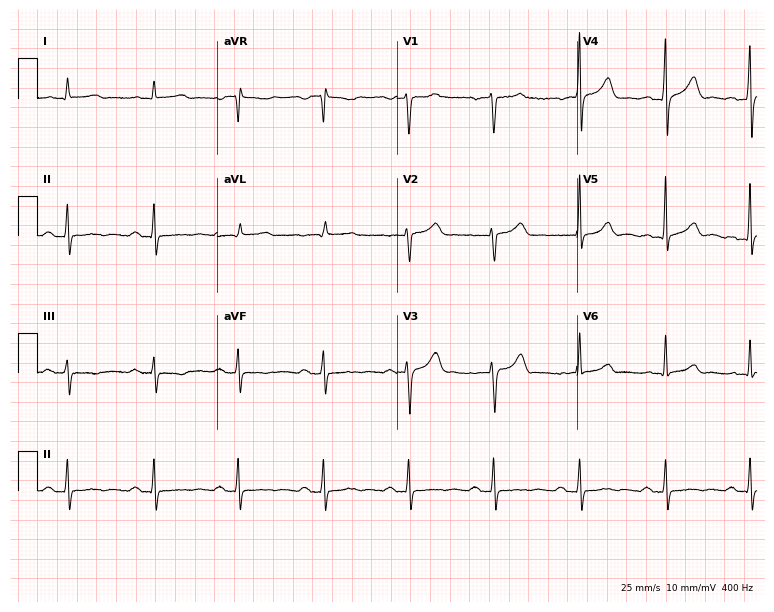
12-lead ECG from a 49-year-old man (7.3-second recording at 400 Hz). Shows first-degree AV block.